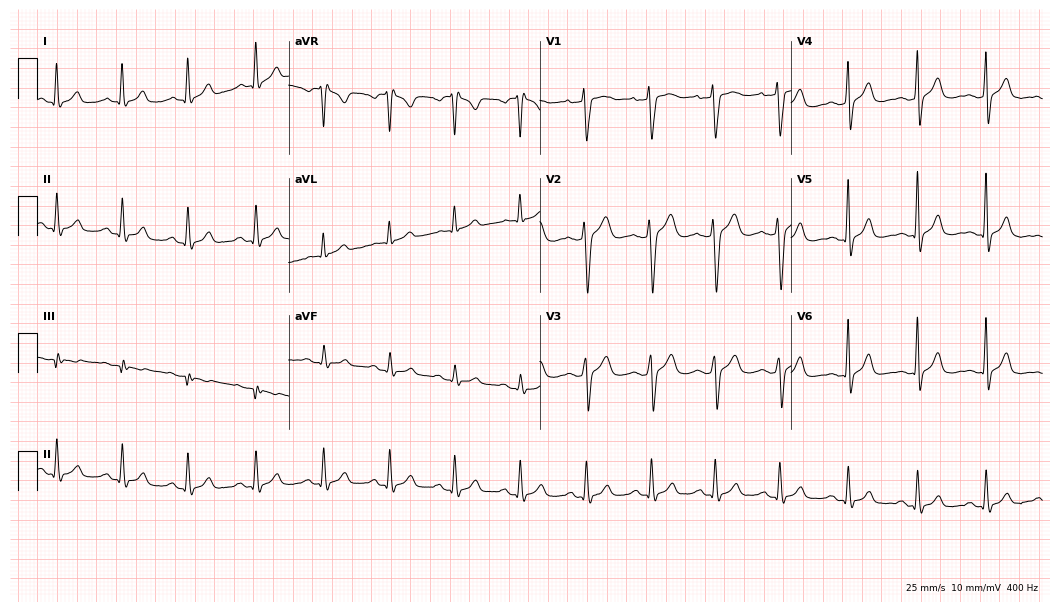
12-lead ECG (10.2-second recording at 400 Hz) from a male, 36 years old. Labelled as a normal ECG.